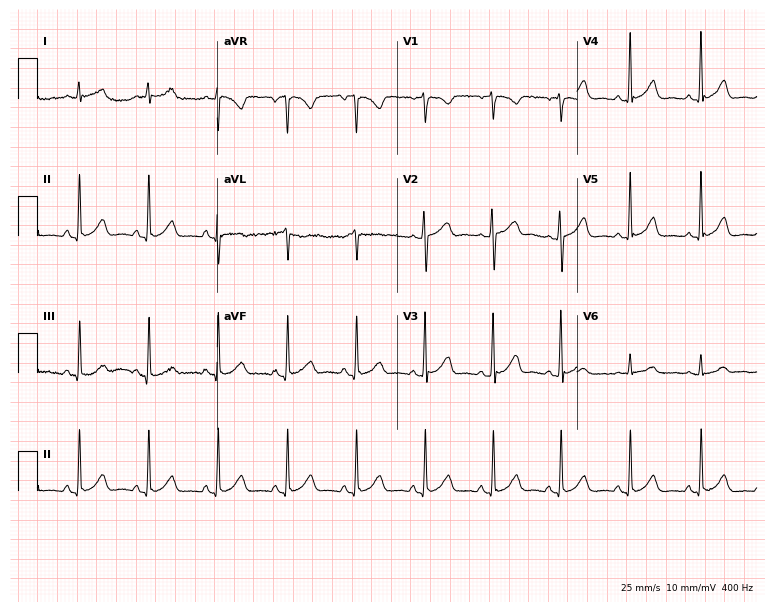
Standard 12-lead ECG recorded from a 53-year-old woman. Read as a normal ECG.